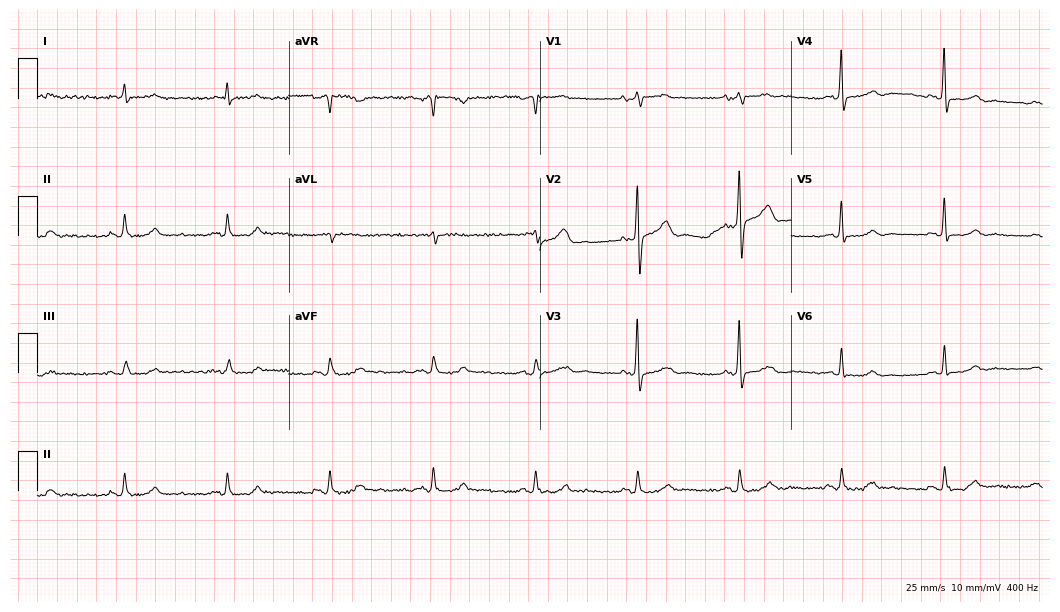
12-lead ECG (10.2-second recording at 400 Hz) from a 76-year-old male patient. Labelled as a normal ECG.